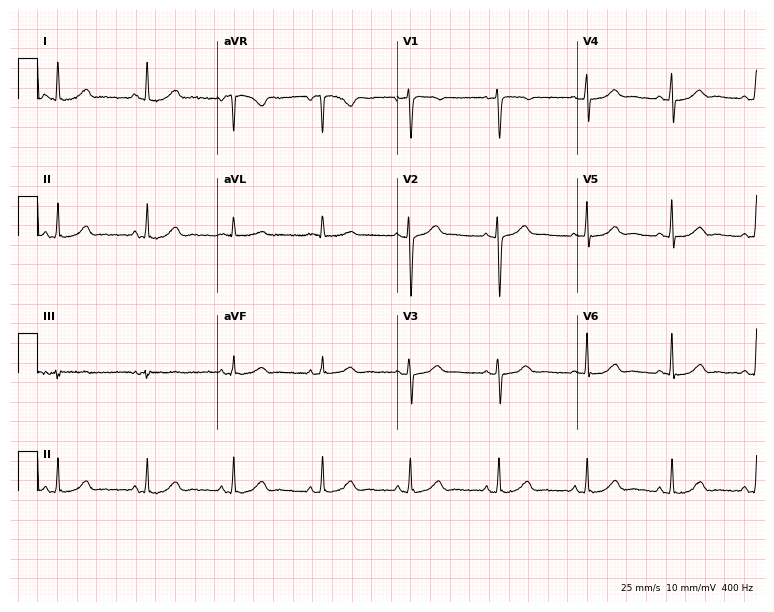
Electrocardiogram, a 45-year-old woman. Overall reading on record: normal ECG.